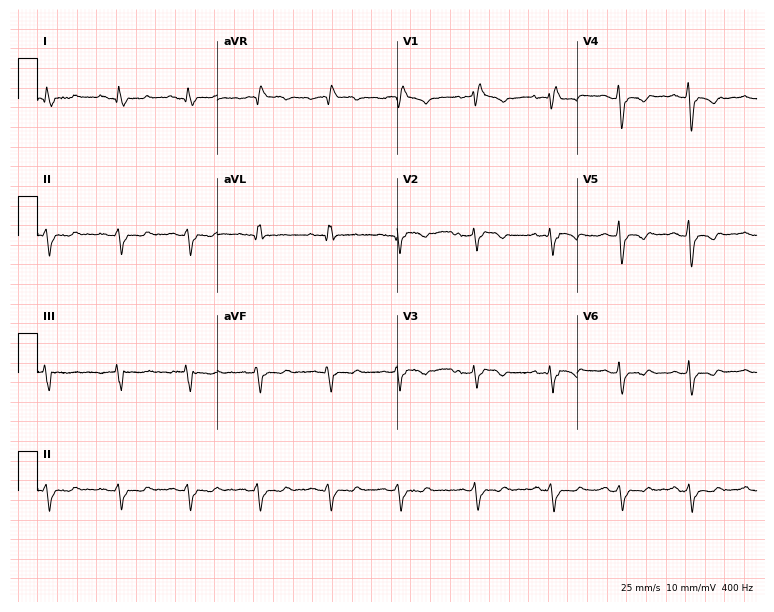
Resting 12-lead electrocardiogram (7.3-second recording at 400 Hz). Patient: a 49-year-old woman. None of these six findings is recorded: first-degree AV block, right bundle branch block, left bundle branch block, sinus bradycardia, atrial fibrillation, sinus tachycardia.